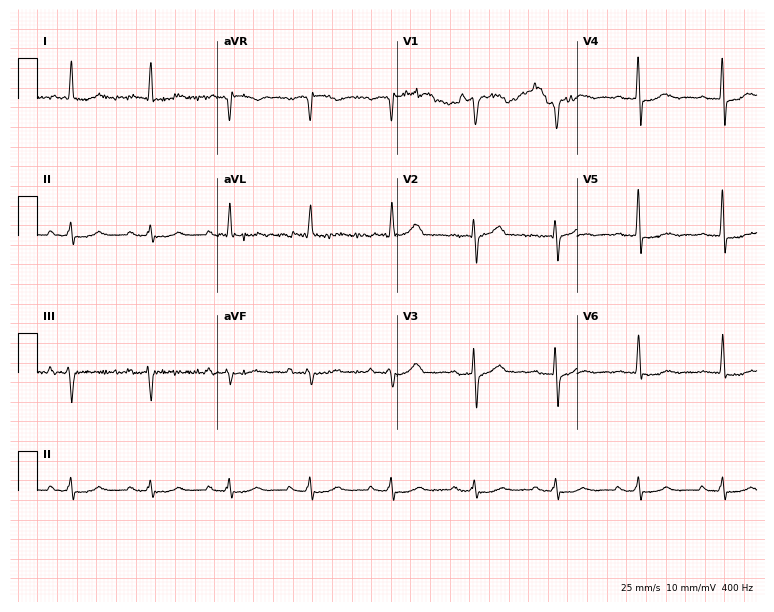
Electrocardiogram, a 67-year-old man. Overall reading on record: normal ECG.